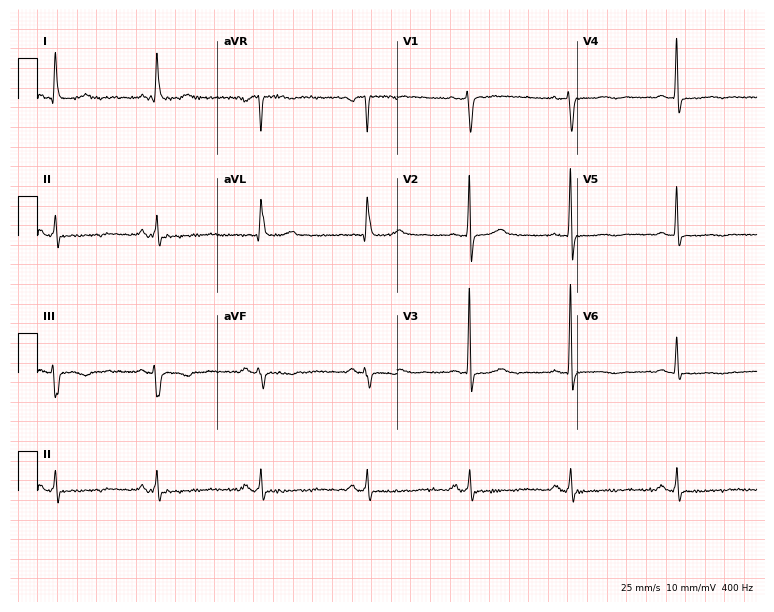
ECG (7.3-second recording at 400 Hz) — a female, 62 years old. Screened for six findings — first-degree AV block, right bundle branch block, left bundle branch block, sinus bradycardia, atrial fibrillation, sinus tachycardia — none is recorded.